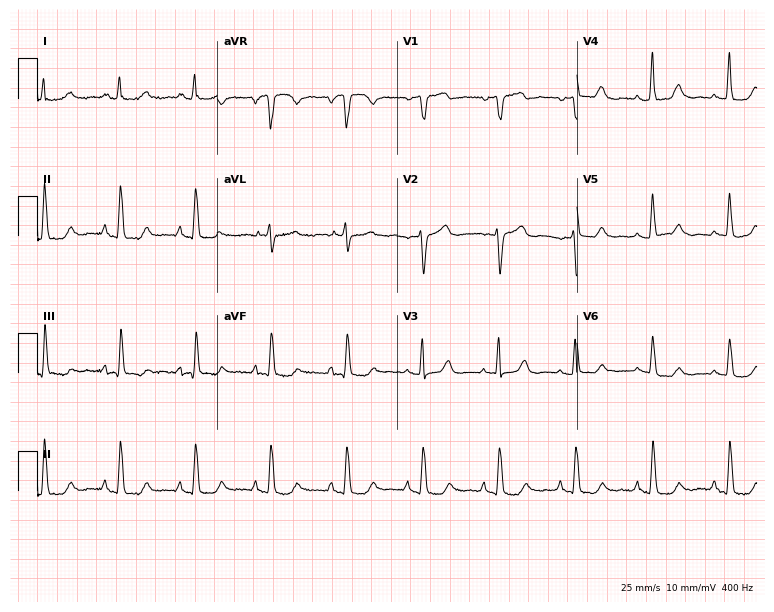
12-lead ECG (7.3-second recording at 400 Hz) from an 81-year-old female patient. Labelled as a normal ECG.